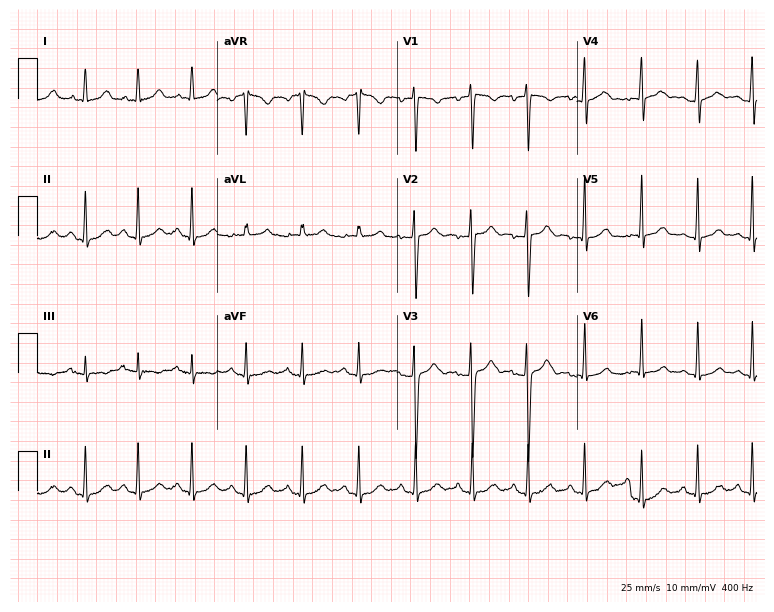
ECG — a woman, 27 years old. Findings include sinus tachycardia (a sinus rate of 100 beats per minute or more).